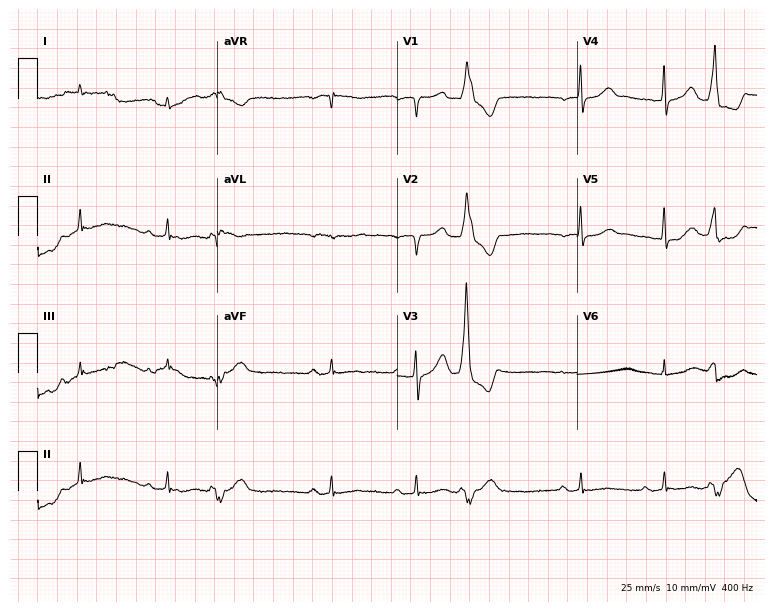
Electrocardiogram (7.3-second recording at 400 Hz), a 76-year-old male. Of the six screened findings (first-degree AV block, right bundle branch block (RBBB), left bundle branch block (LBBB), sinus bradycardia, atrial fibrillation (AF), sinus tachycardia), none is recorded. Only these six findings were labelled.